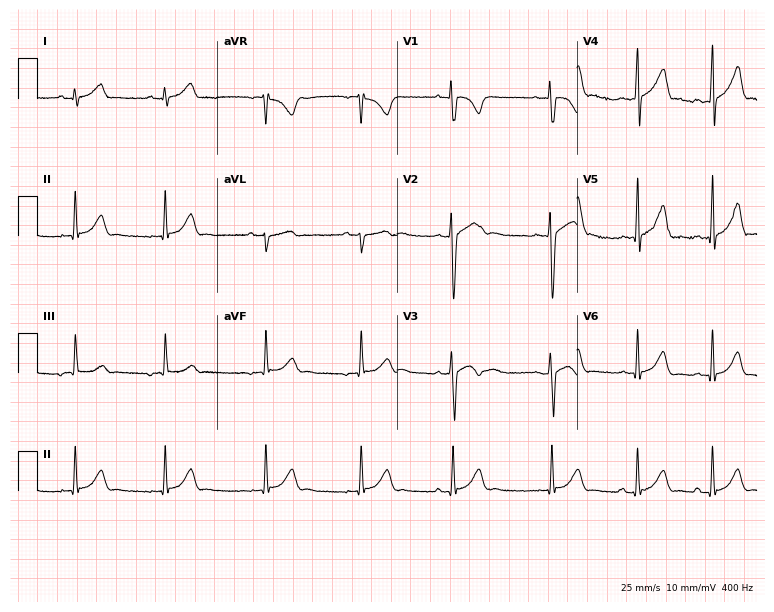
12-lead ECG from a 17-year-old man (7.3-second recording at 400 Hz). Recorded interpretation: within normal limits.